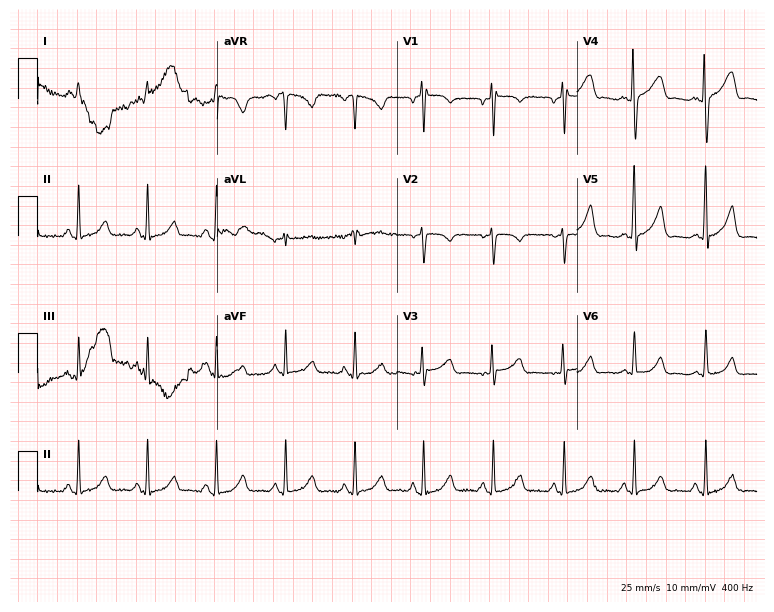
12-lead ECG from a woman, 37 years old (7.3-second recording at 400 Hz). No first-degree AV block, right bundle branch block, left bundle branch block, sinus bradycardia, atrial fibrillation or sinus tachycardia recorded for this tracing.